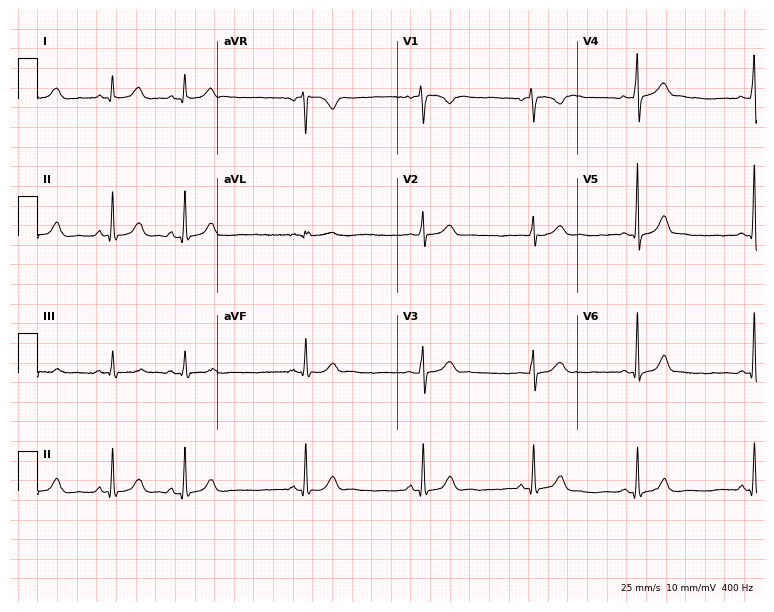
ECG — a female patient, 24 years old. Labelled as a normal ECG.